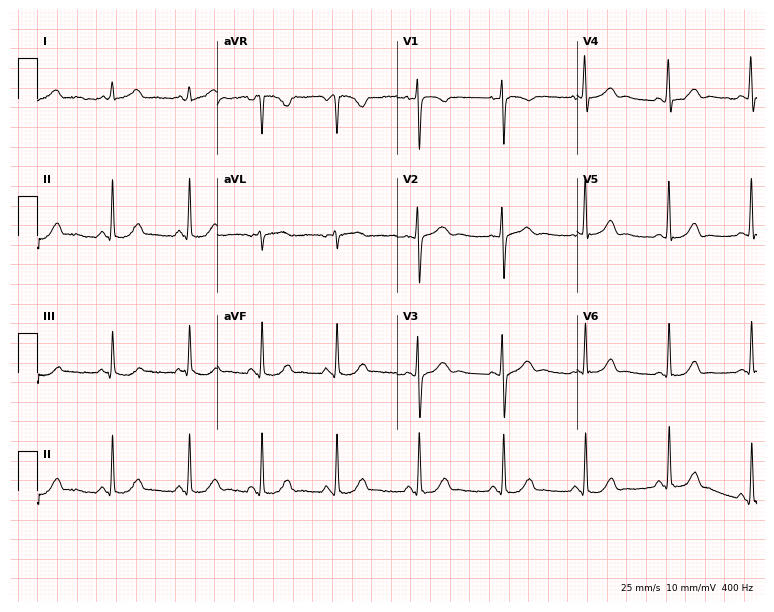
ECG (7.3-second recording at 400 Hz) — a 28-year-old woman. Labelled as a normal ECG.